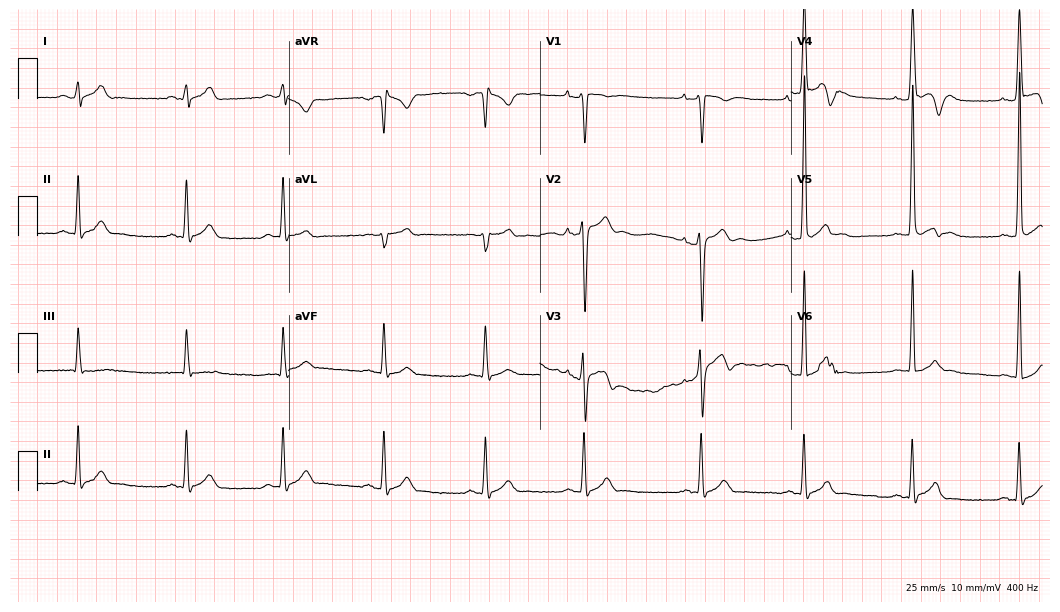
Electrocardiogram, a male, 17 years old. Of the six screened findings (first-degree AV block, right bundle branch block, left bundle branch block, sinus bradycardia, atrial fibrillation, sinus tachycardia), none is recorded.